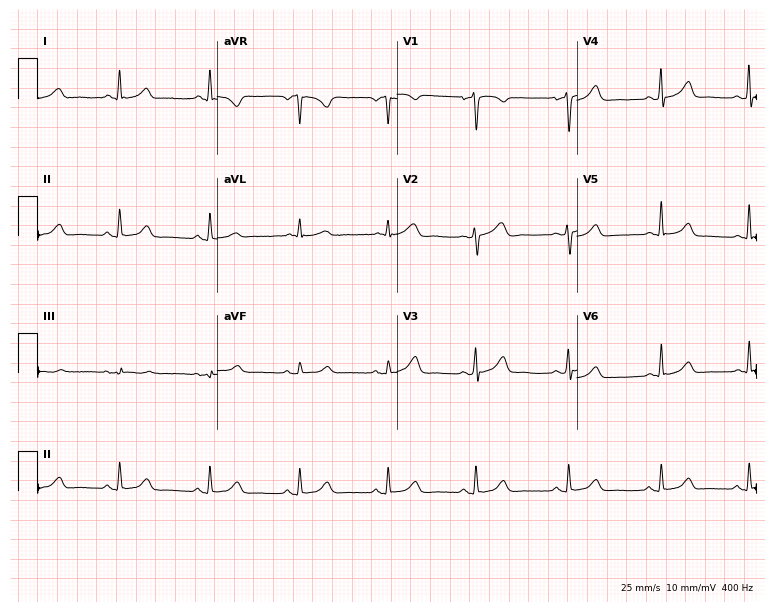
ECG — a 61-year-old woman. Screened for six findings — first-degree AV block, right bundle branch block, left bundle branch block, sinus bradycardia, atrial fibrillation, sinus tachycardia — none is recorded.